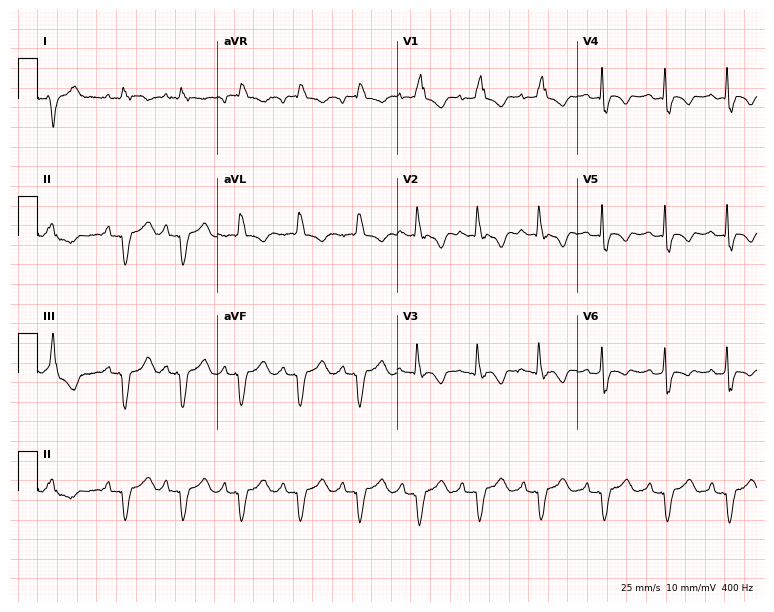
12-lead ECG from a 34-year-old woman. Findings include right bundle branch block (RBBB).